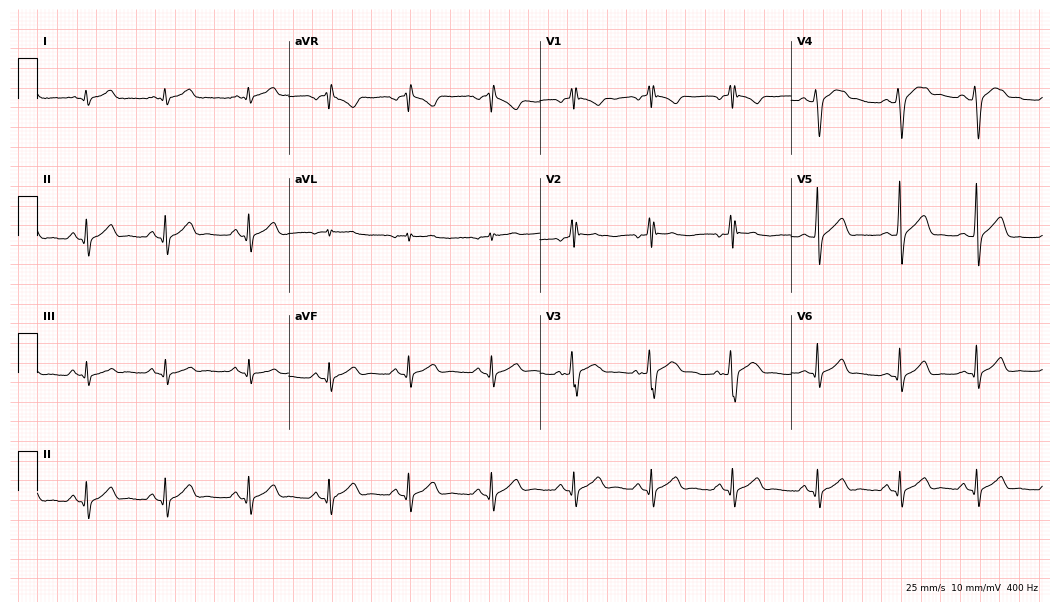
Resting 12-lead electrocardiogram (10.2-second recording at 400 Hz). Patient: a 24-year-old man. None of these six findings is recorded: first-degree AV block, right bundle branch block (RBBB), left bundle branch block (LBBB), sinus bradycardia, atrial fibrillation (AF), sinus tachycardia.